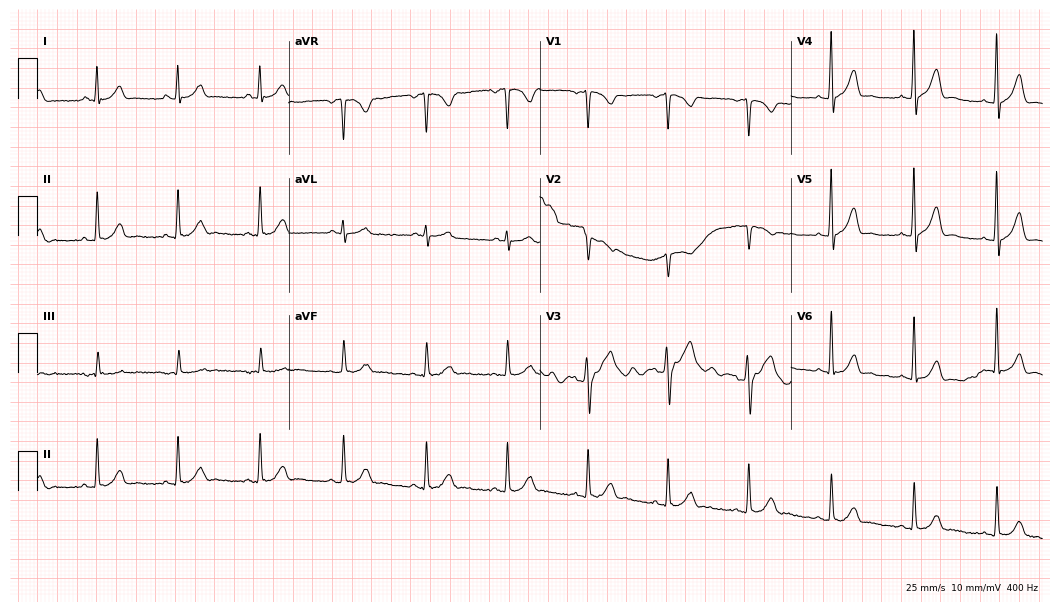
Electrocardiogram (10.2-second recording at 400 Hz), a 37-year-old male patient. Overall reading on record: normal ECG.